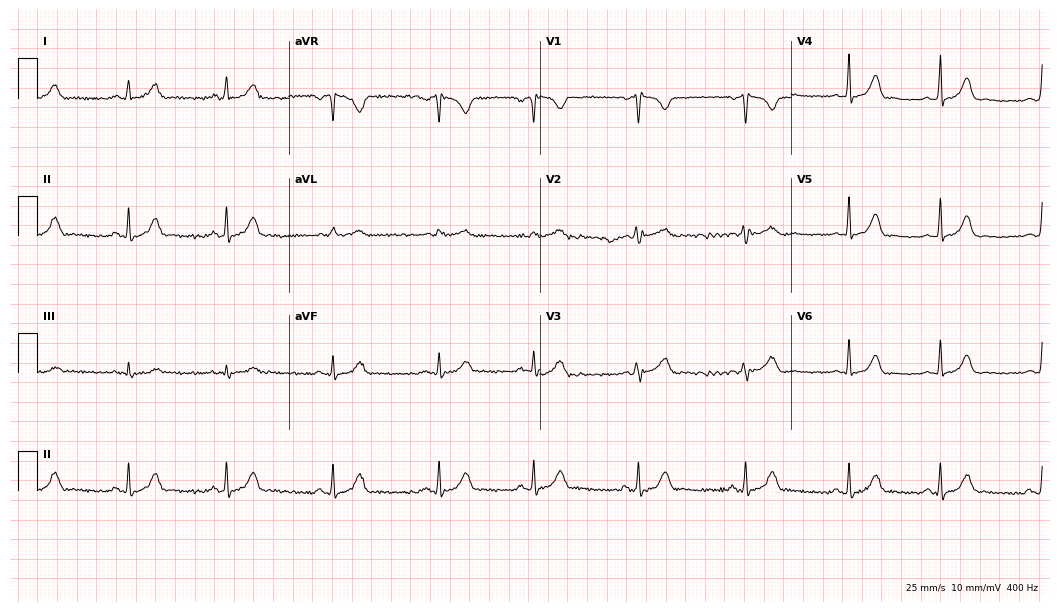
Standard 12-lead ECG recorded from a 21-year-old female patient (10.2-second recording at 400 Hz). None of these six findings is recorded: first-degree AV block, right bundle branch block (RBBB), left bundle branch block (LBBB), sinus bradycardia, atrial fibrillation (AF), sinus tachycardia.